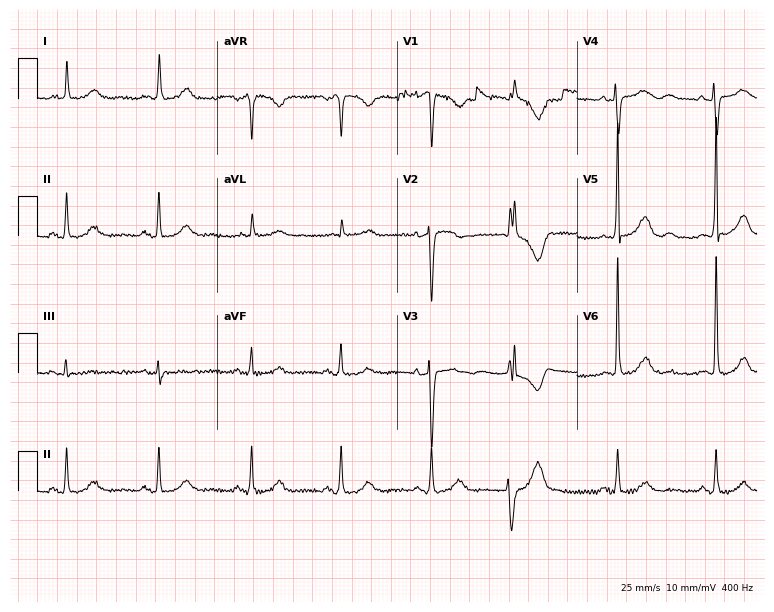
Standard 12-lead ECG recorded from an 82-year-old woman (7.3-second recording at 400 Hz). None of these six findings is recorded: first-degree AV block, right bundle branch block (RBBB), left bundle branch block (LBBB), sinus bradycardia, atrial fibrillation (AF), sinus tachycardia.